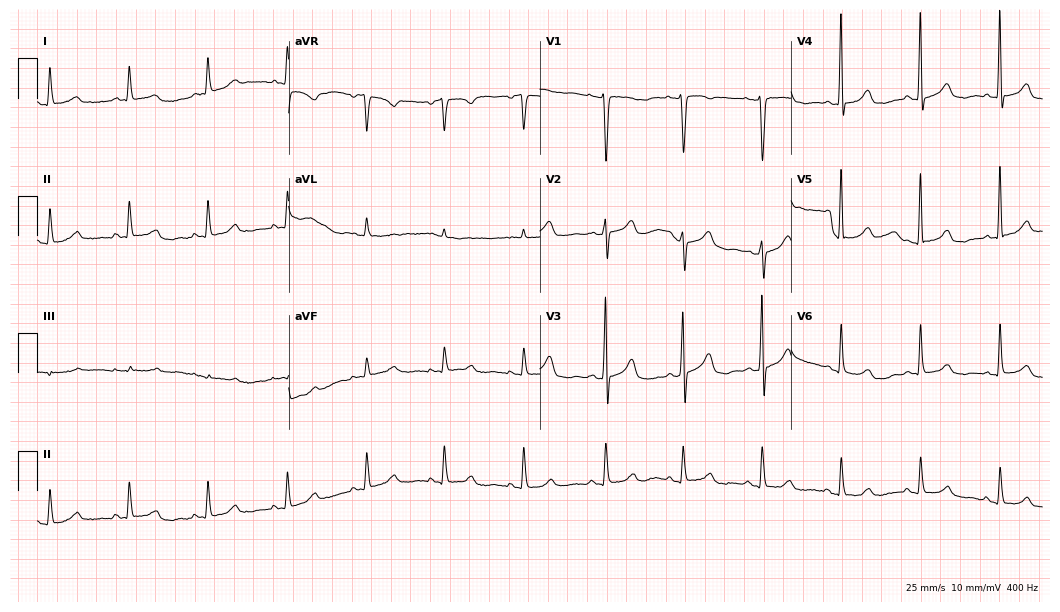
ECG — a female, 66 years old. Labelled as a normal ECG.